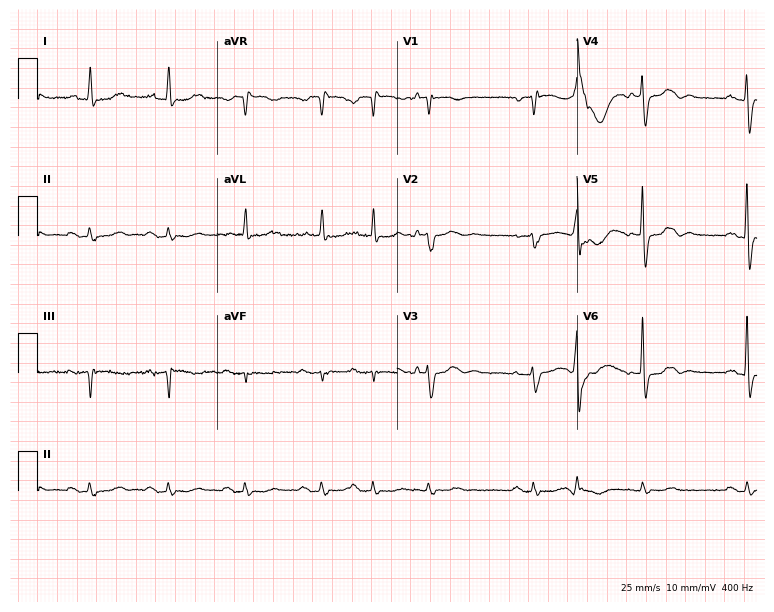
Electrocardiogram (7.3-second recording at 400 Hz), a female, 83 years old. Of the six screened findings (first-degree AV block, right bundle branch block, left bundle branch block, sinus bradycardia, atrial fibrillation, sinus tachycardia), none is recorded.